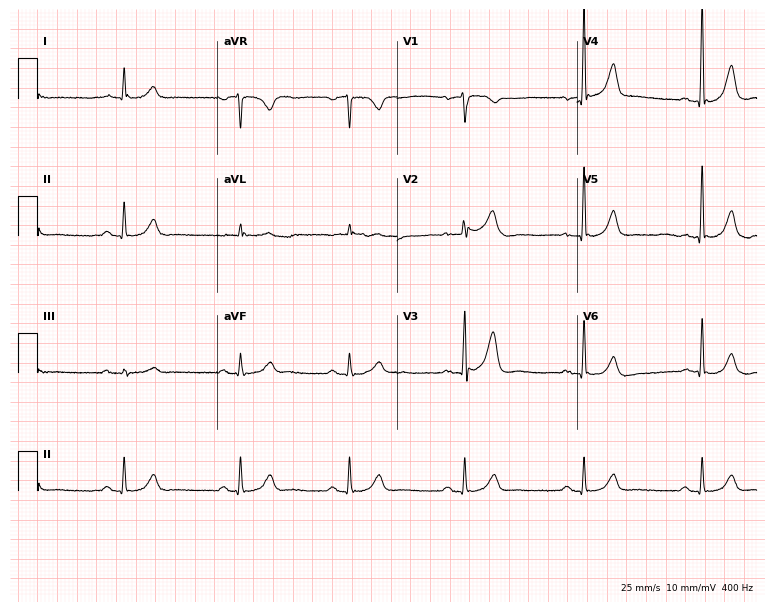
Standard 12-lead ECG recorded from a male, 67 years old (7.3-second recording at 400 Hz). The tracing shows sinus bradycardia (a sinus rate of 50 beats per minute or less).